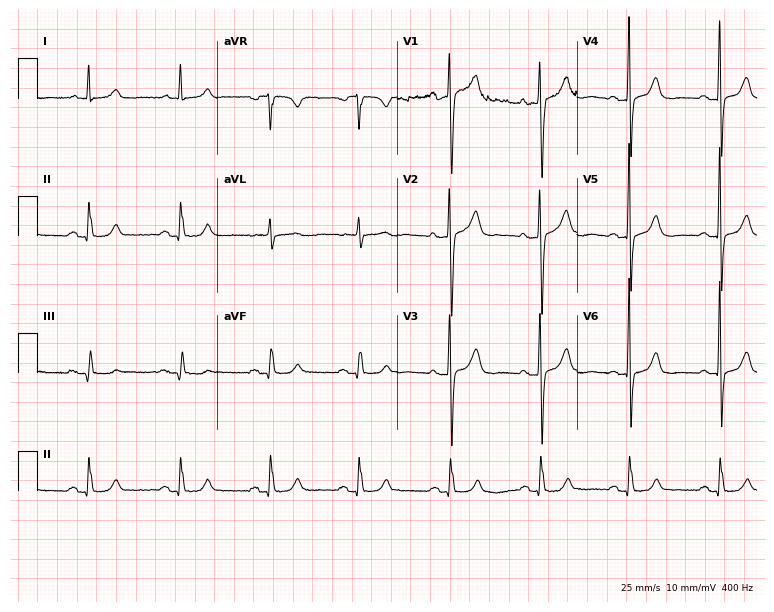
Resting 12-lead electrocardiogram. Patient: a 79-year-old female. None of these six findings is recorded: first-degree AV block, right bundle branch block (RBBB), left bundle branch block (LBBB), sinus bradycardia, atrial fibrillation (AF), sinus tachycardia. Other findings, if any, are not listed.